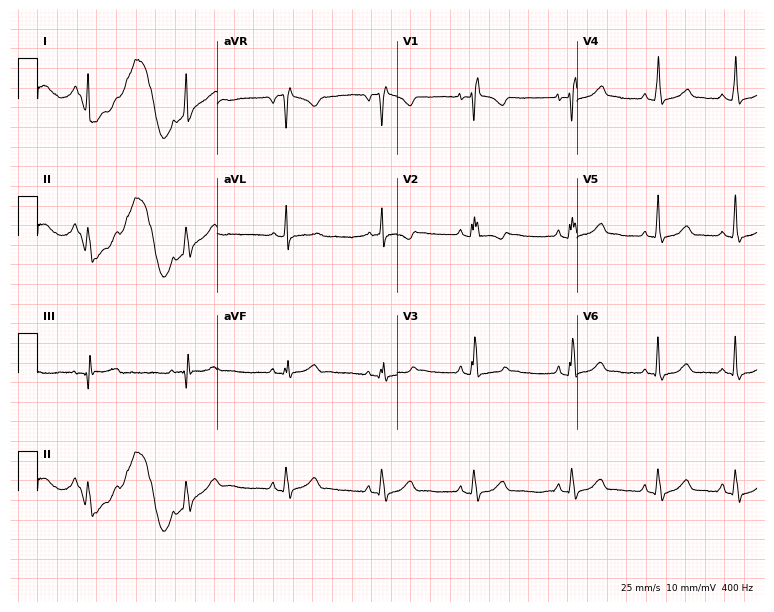
12-lead ECG from a female, 19 years old (7.3-second recording at 400 Hz). No first-degree AV block, right bundle branch block, left bundle branch block, sinus bradycardia, atrial fibrillation or sinus tachycardia recorded for this tracing.